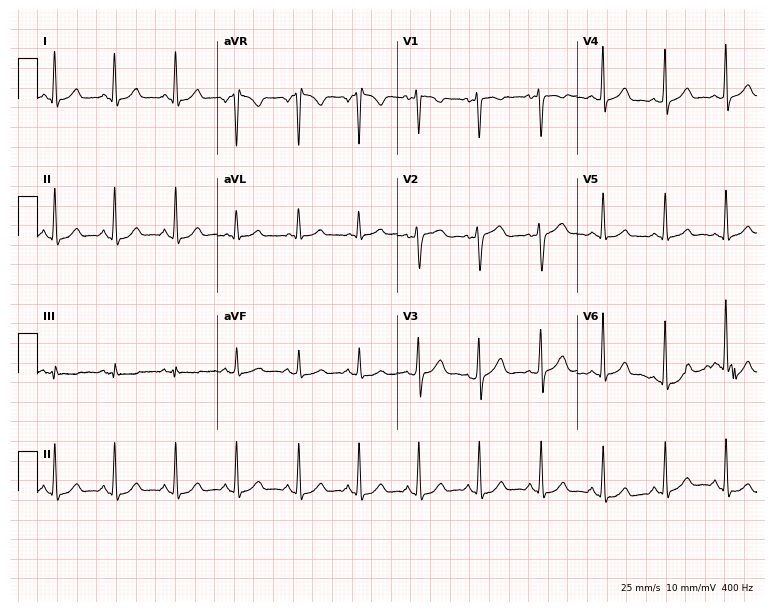
Resting 12-lead electrocardiogram. Patient: a female, 46 years old. None of these six findings is recorded: first-degree AV block, right bundle branch block, left bundle branch block, sinus bradycardia, atrial fibrillation, sinus tachycardia. Findings outside these six are not listed.